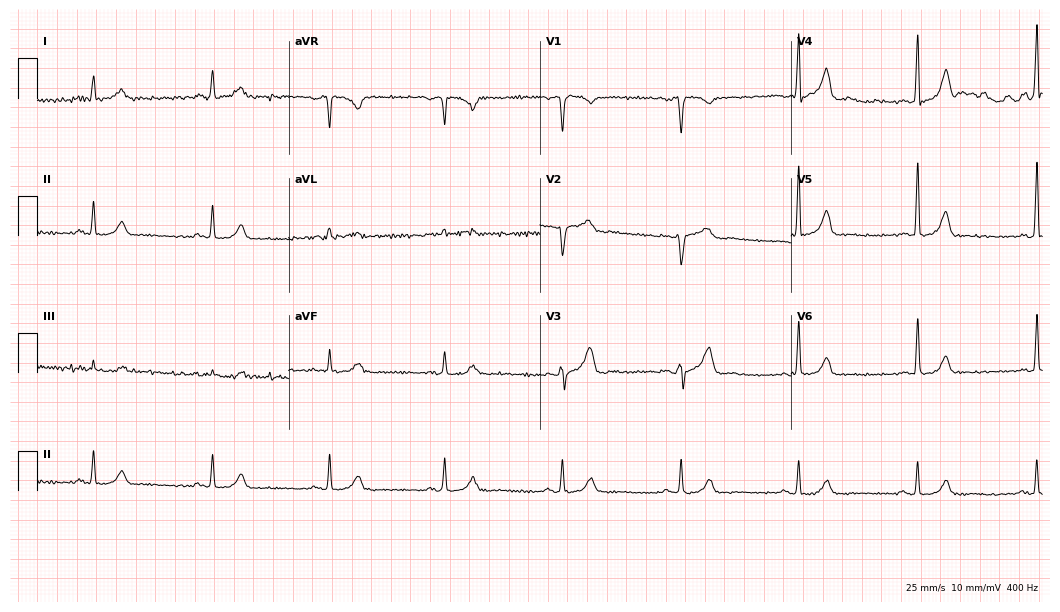
12-lead ECG (10.2-second recording at 400 Hz) from a male, 57 years old. Findings include sinus bradycardia (a sinus rate of 50 beats per minute or less).